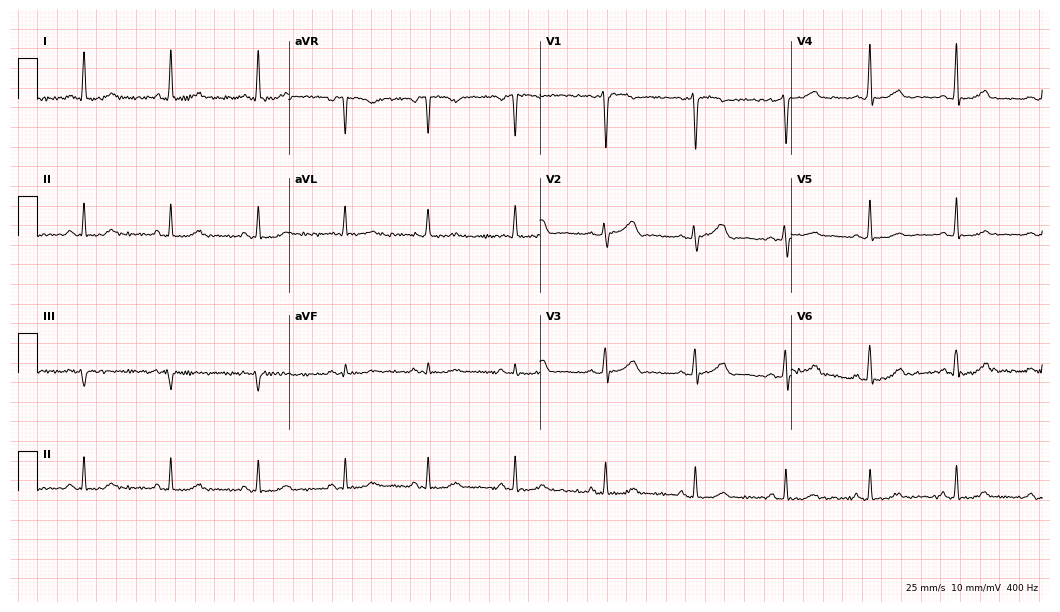
Resting 12-lead electrocardiogram. Patient: a female, 44 years old. Read as a normal ECG.